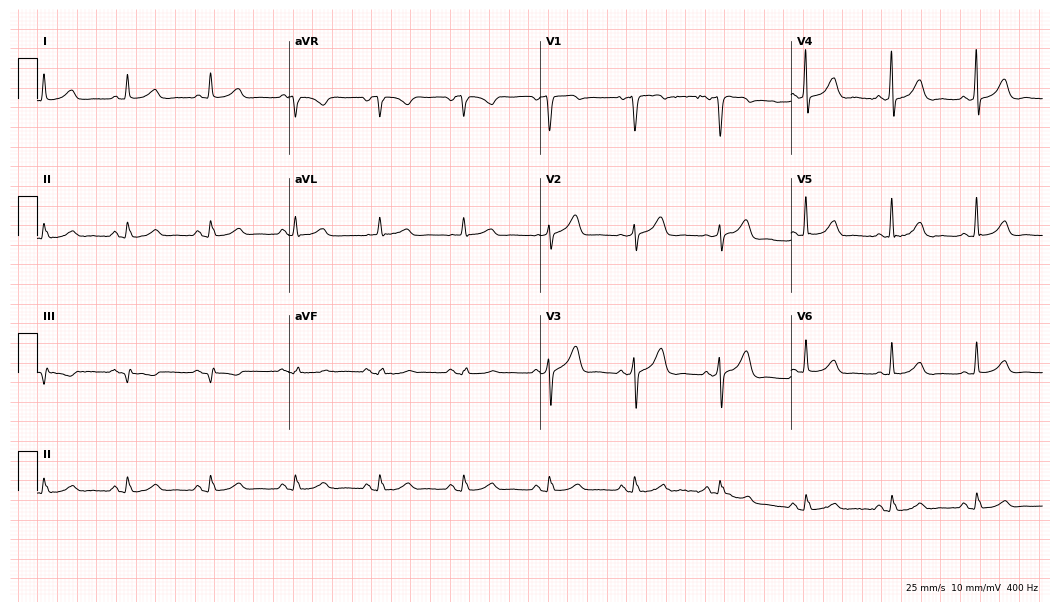
Standard 12-lead ECG recorded from a 79-year-old man (10.2-second recording at 400 Hz). Read as a normal ECG.